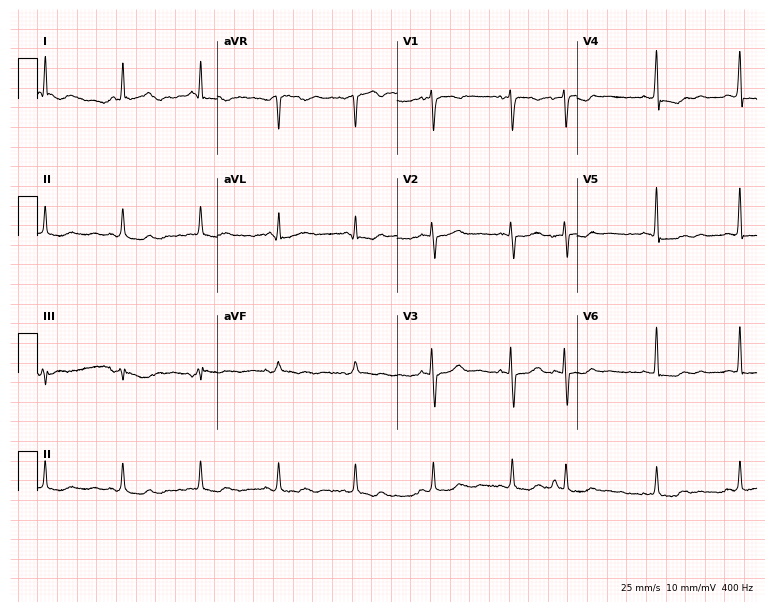
Resting 12-lead electrocardiogram. Patient: a 61-year-old female. None of these six findings is recorded: first-degree AV block, right bundle branch block, left bundle branch block, sinus bradycardia, atrial fibrillation, sinus tachycardia. Only these six findings were labelled.